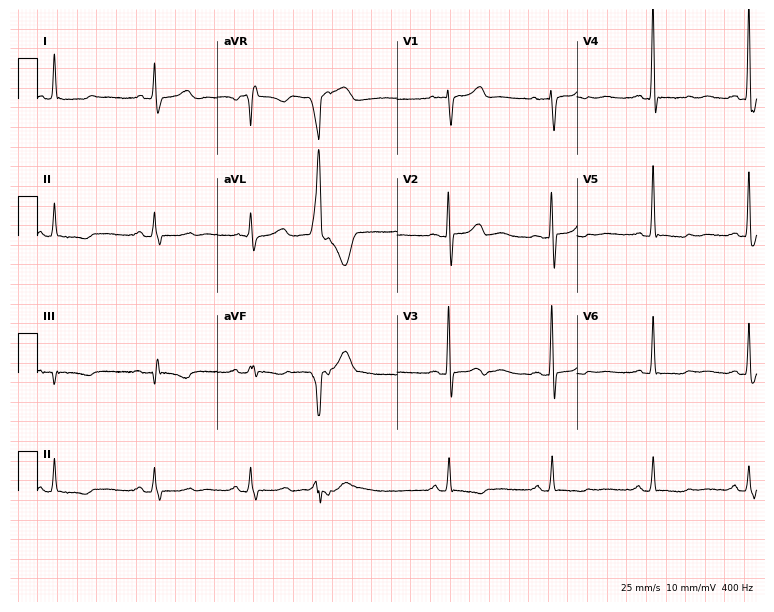
12-lead ECG (7.3-second recording at 400 Hz) from an 83-year-old female. Labelled as a normal ECG.